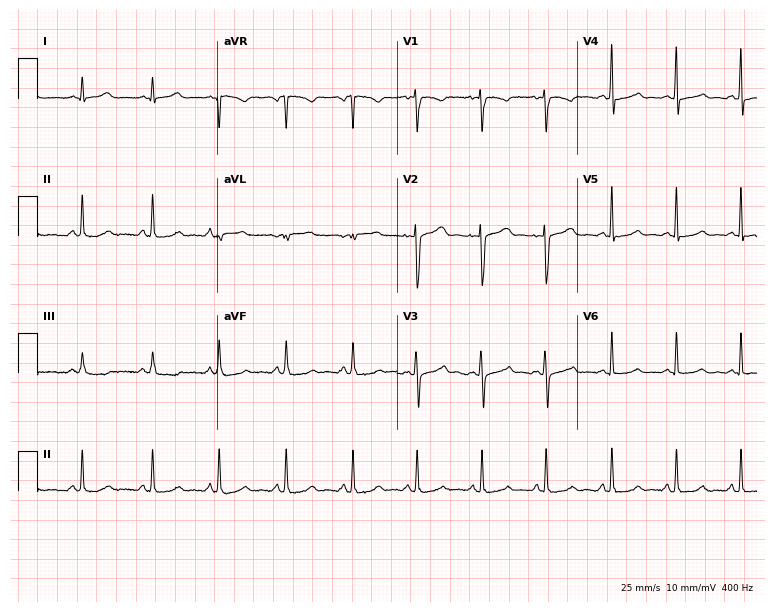
ECG (7.3-second recording at 400 Hz) — a woman, 29 years old. Screened for six findings — first-degree AV block, right bundle branch block, left bundle branch block, sinus bradycardia, atrial fibrillation, sinus tachycardia — none is recorded. Other findings, if any, are not listed.